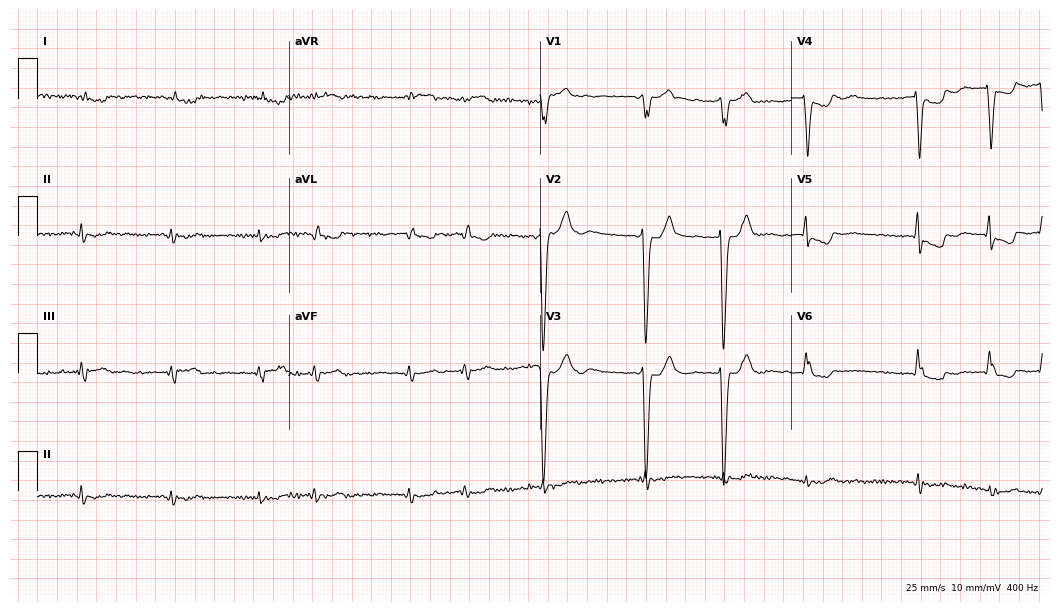
ECG (10.2-second recording at 400 Hz) — a male patient, 82 years old. Findings include atrial fibrillation.